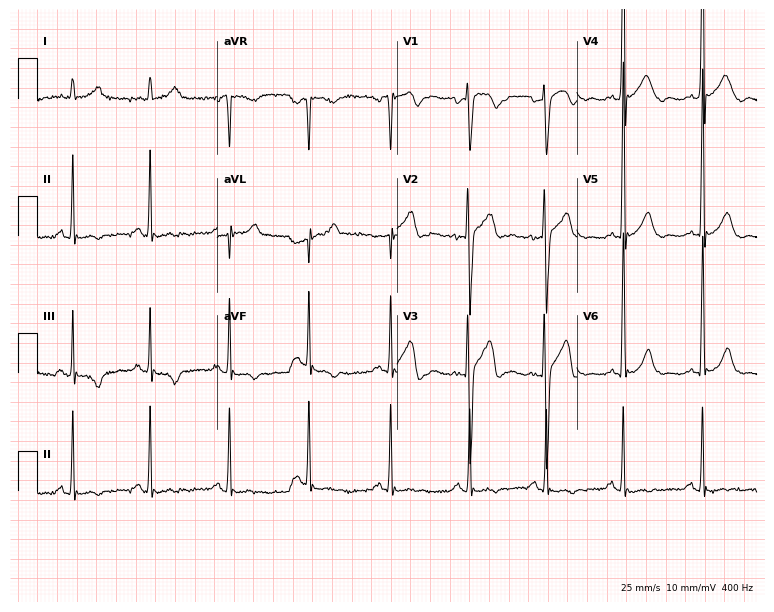
12-lead ECG from a 62-year-old male patient. No first-degree AV block, right bundle branch block, left bundle branch block, sinus bradycardia, atrial fibrillation or sinus tachycardia recorded for this tracing.